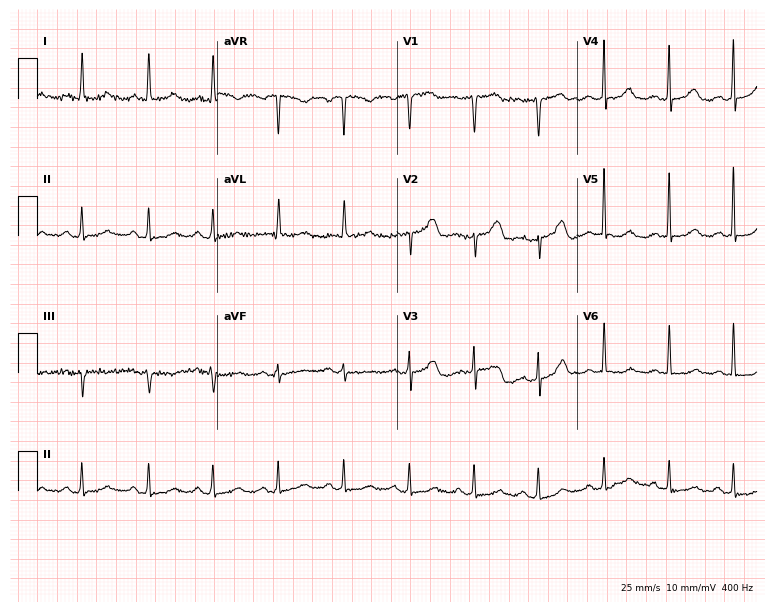
12-lead ECG (7.3-second recording at 400 Hz) from a 76-year-old woman. Labelled as a normal ECG.